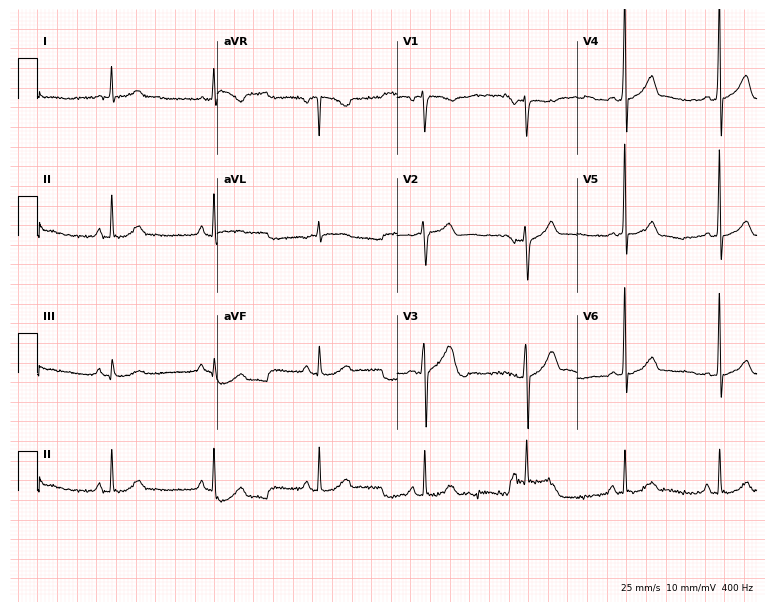
Electrocardiogram, a 61-year-old man. Overall reading on record: normal ECG.